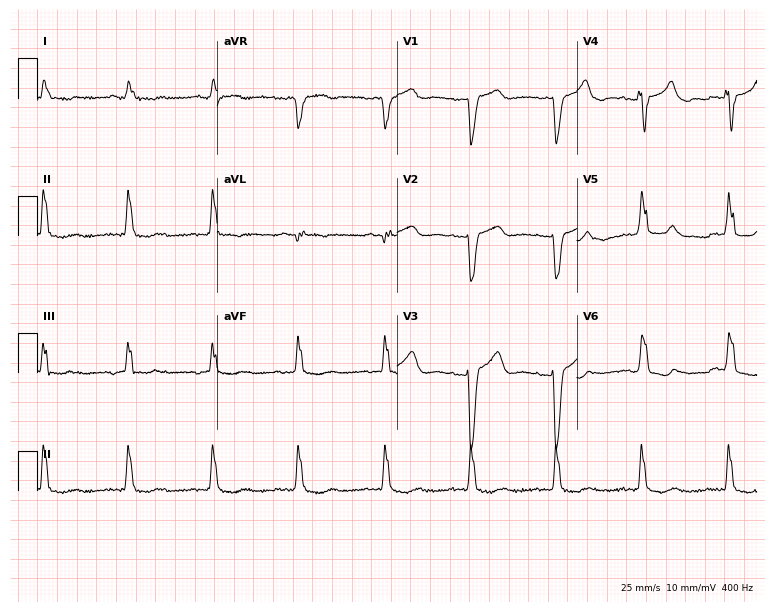
12-lead ECG from an 82-year-old woman (7.3-second recording at 400 Hz). Shows left bundle branch block (LBBB).